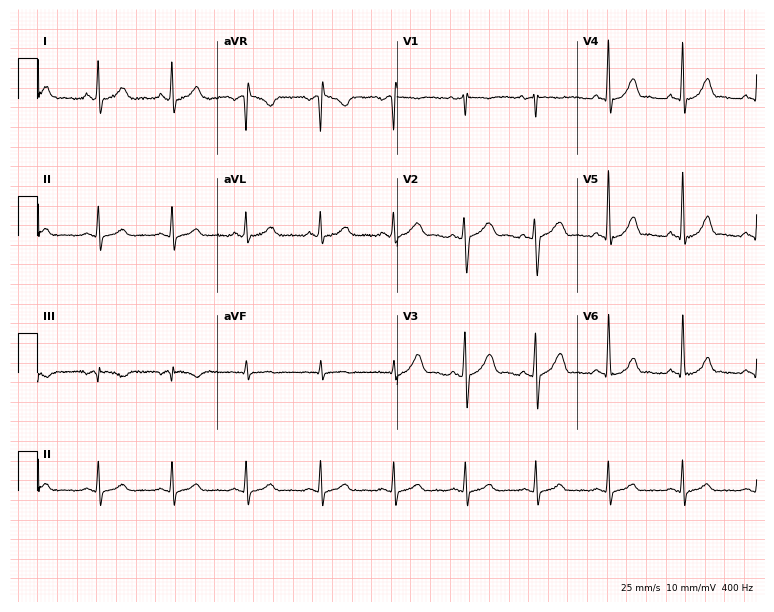
Resting 12-lead electrocardiogram. Patient: a female, 26 years old. Read as a normal ECG.